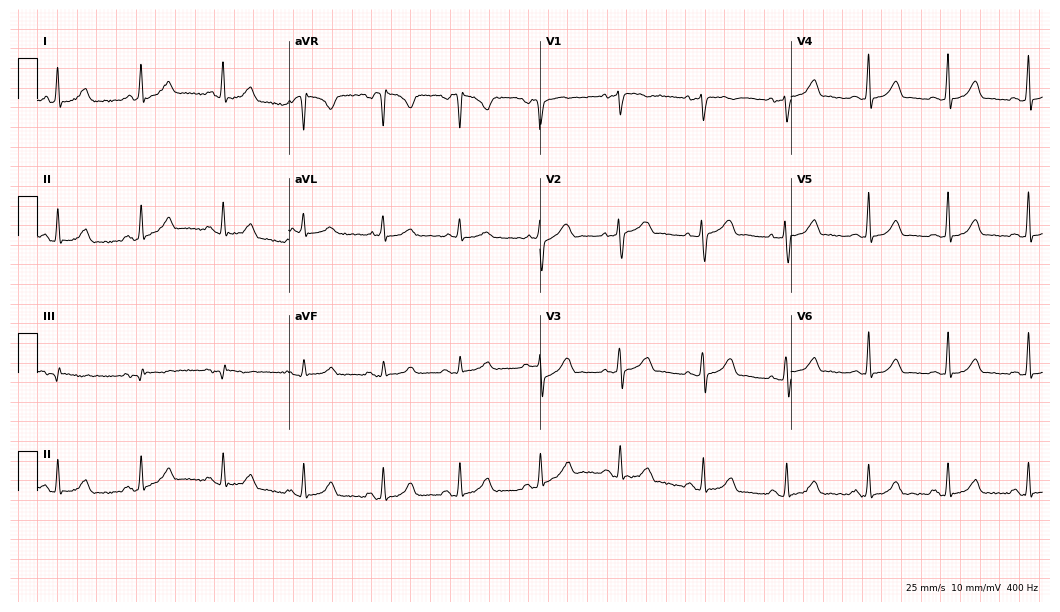
12-lead ECG (10.2-second recording at 400 Hz) from a female patient, 30 years old. Labelled as a normal ECG.